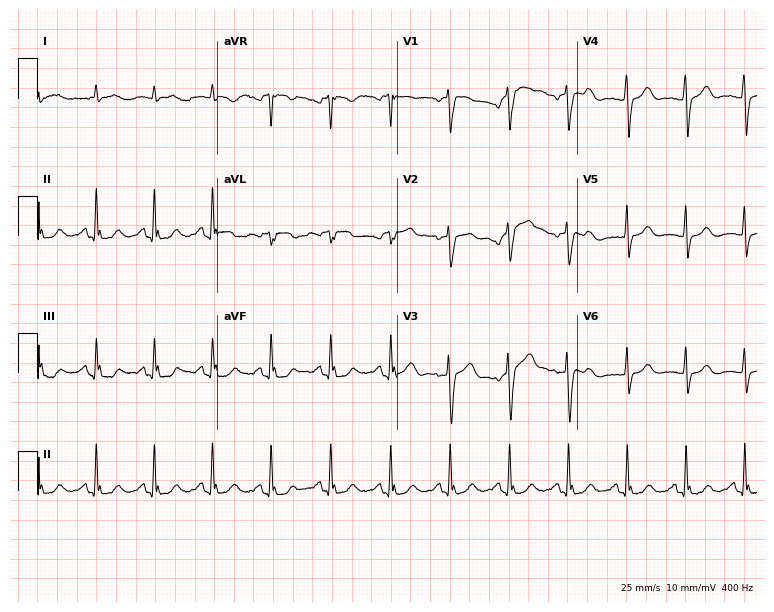
Resting 12-lead electrocardiogram. Patient: a male, 70 years old. The tracing shows sinus tachycardia (a sinus rate of 100 beats per minute or more).